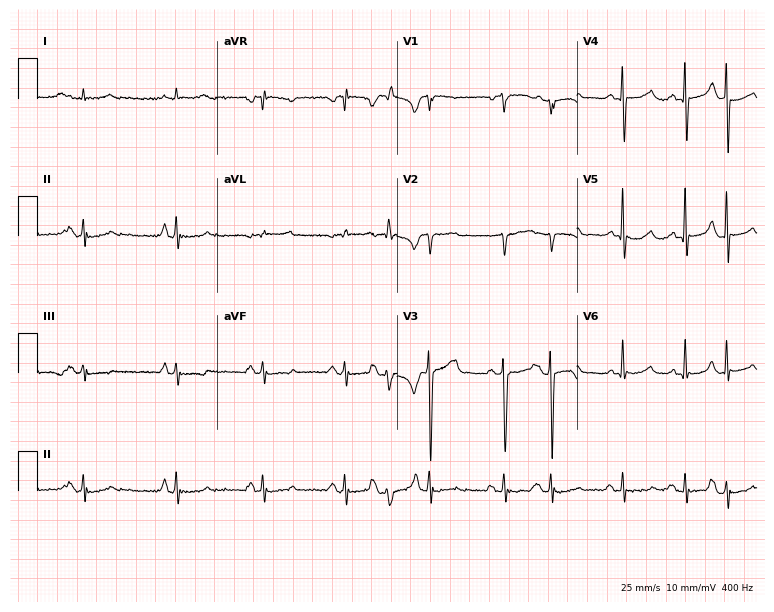
Electrocardiogram, a 72-year-old male. Of the six screened findings (first-degree AV block, right bundle branch block, left bundle branch block, sinus bradycardia, atrial fibrillation, sinus tachycardia), none is recorded.